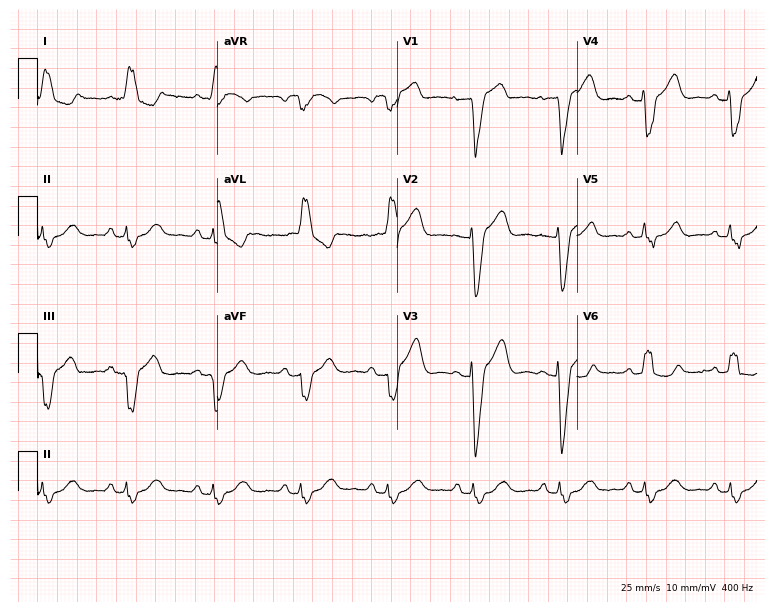
12-lead ECG from an 80-year-old female patient. Shows left bundle branch block.